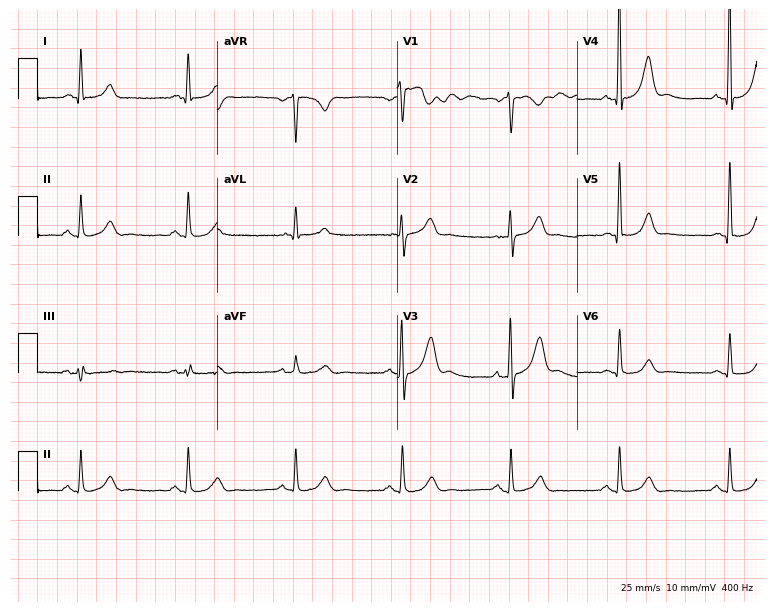
ECG — a male patient, 78 years old. Labelled as a normal ECG.